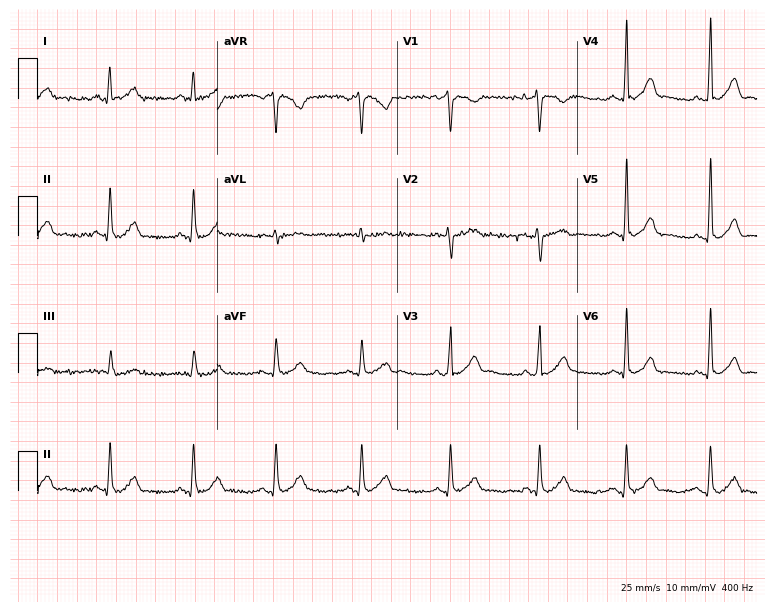
Resting 12-lead electrocardiogram (7.3-second recording at 400 Hz). Patient: a 36-year-old man. Read as a normal ECG.